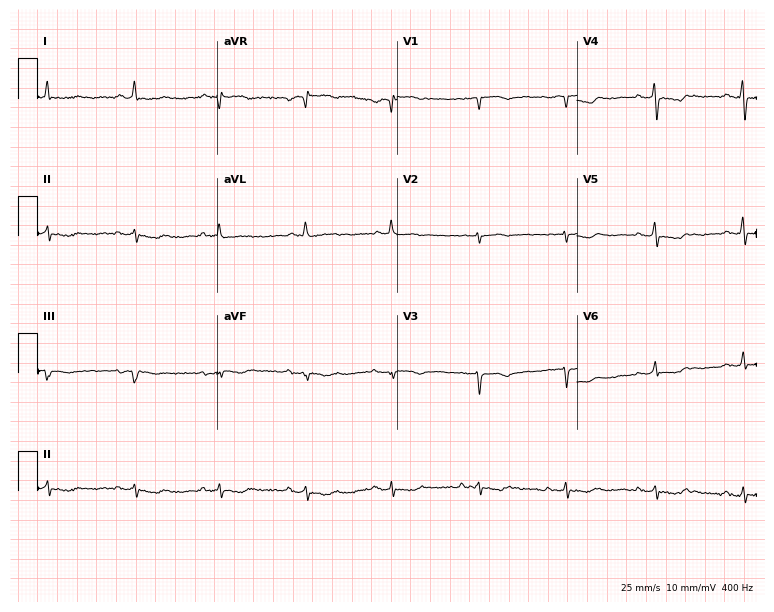
12-lead ECG from a 62-year-old woman. No first-degree AV block, right bundle branch block (RBBB), left bundle branch block (LBBB), sinus bradycardia, atrial fibrillation (AF) or sinus tachycardia recorded for this tracing.